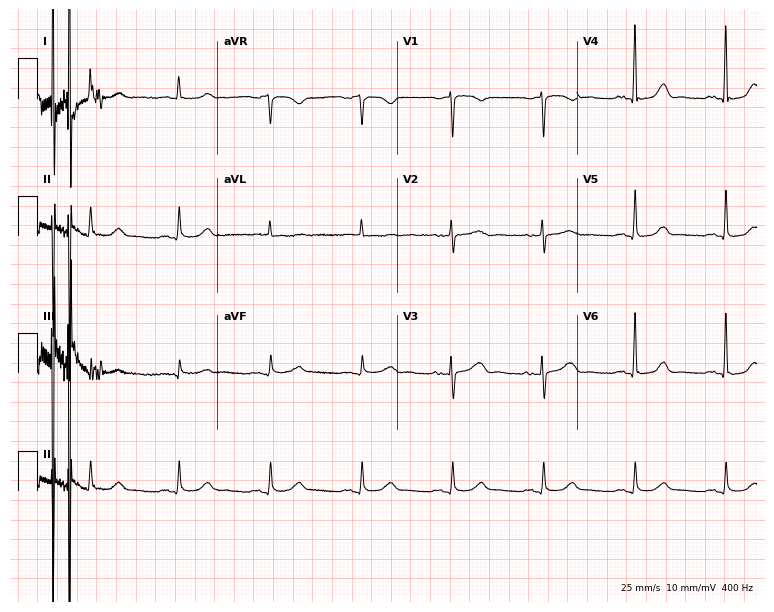
Resting 12-lead electrocardiogram. Patient: a 77-year-old female. Read as a normal ECG.